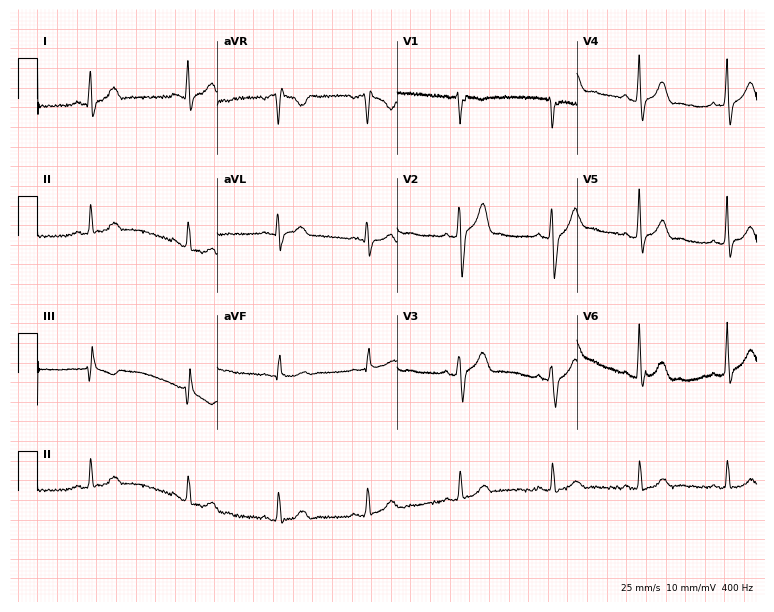
Electrocardiogram, a 35-year-old male patient. Overall reading on record: normal ECG.